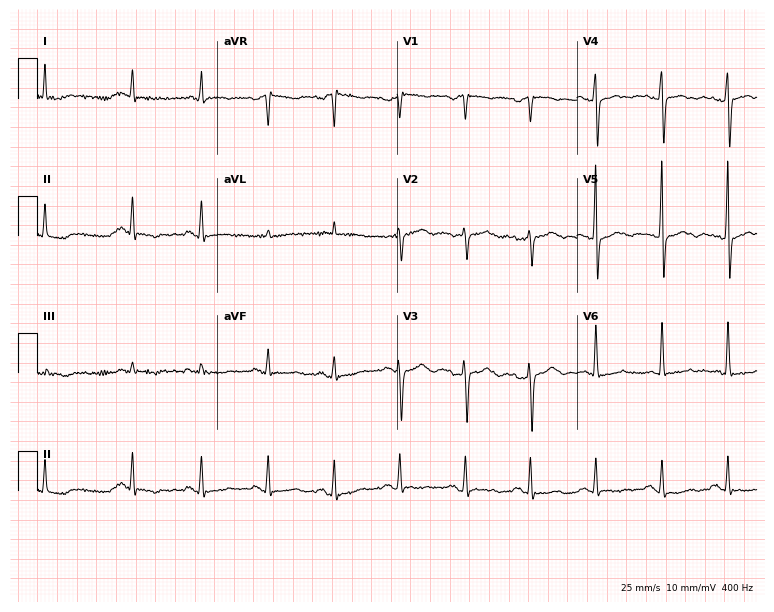
12-lead ECG from a woman, 81 years old. Screened for six findings — first-degree AV block, right bundle branch block, left bundle branch block, sinus bradycardia, atrial fibrillation, sinus tachycardia — none is recorded. Only these six findings were labelled.